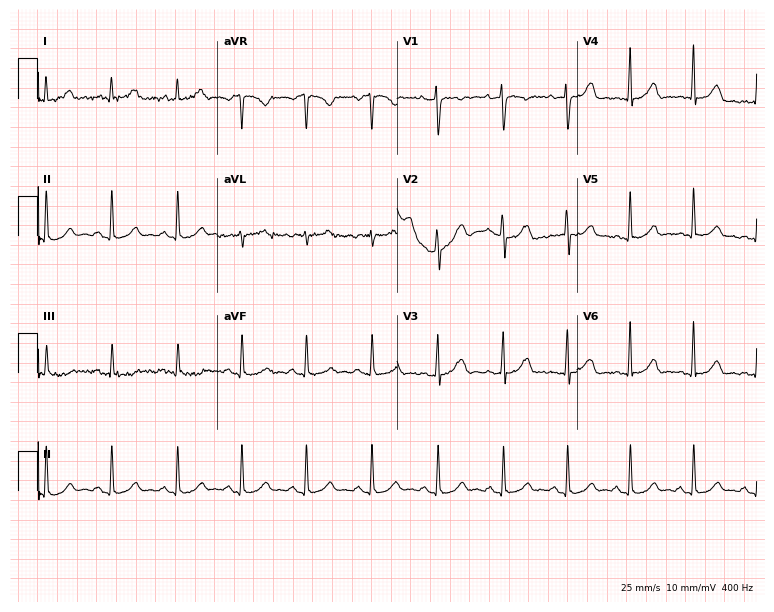
12-lead ECG from a woman, 41 years old. No first-degree AV block, right bundle branch block, left bundle branch block, sinus bradycardia, atrial fibrillation or sinus tachycardia recorded for this tracing. Only these six findings were labelled.